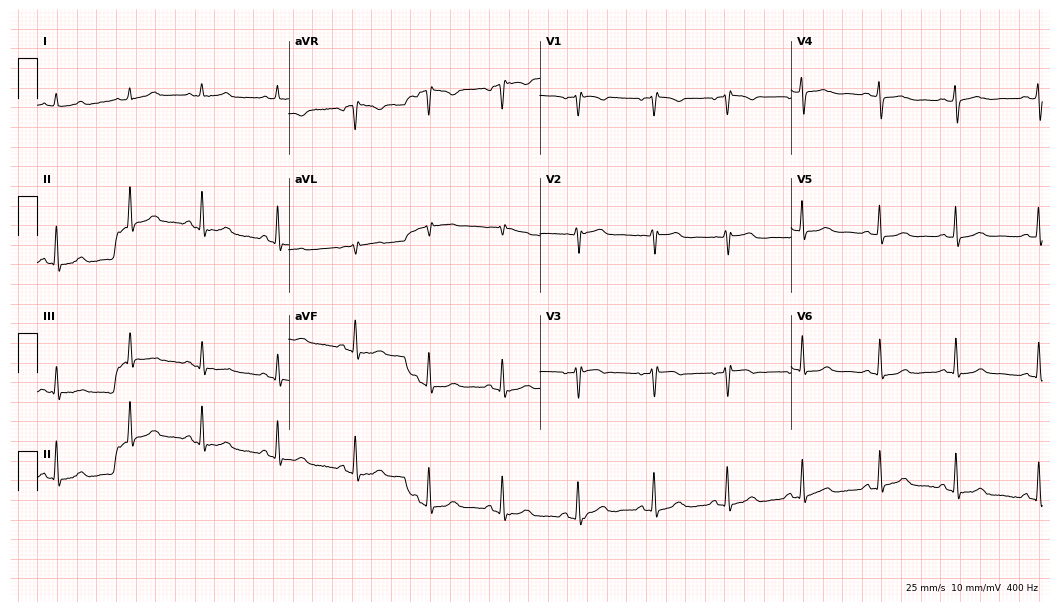
12-lead ECG from a 53-year-old female patient. No first-degree AV block, right bundle branch block, left bundle branch block, sinus bradycardia, atrial fibrillation or sinus tachycardia recorded for this tracing. Other findings, if any, are not listed.